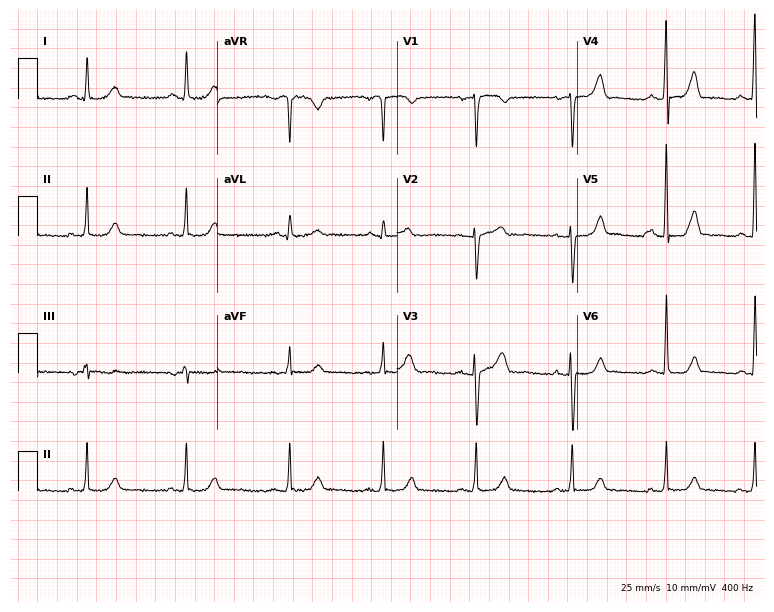
12-lead ECG from a 49-year-old female (7.3-second recording at 400 Hz). Recorded interpretation: within normal limits.